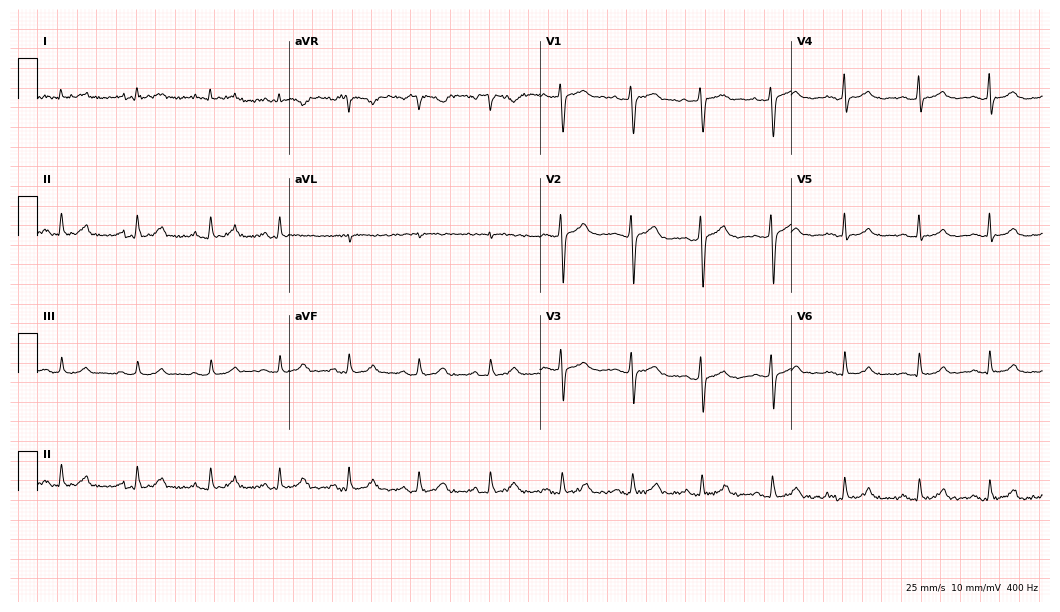
ECG — a 29-year-old female patient. Labelled as a normal ECG.